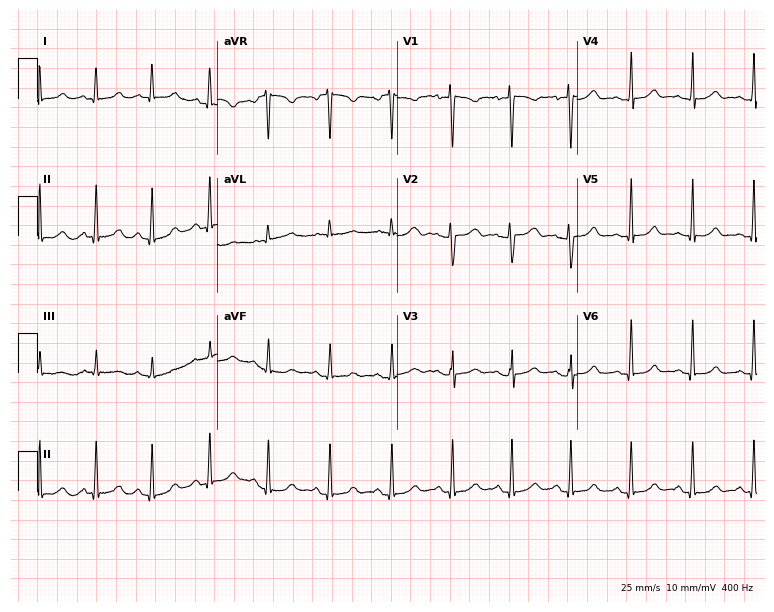
Electrocardiogram, a female, 27 years old. Of the six screened findings (first-degree AV block, right bundle branch block (RBBB), left bundle branch block (LBBB), sinus bradycardia, atrial fibrillation (AF), sinus tachycardia), none is recorded. Other findings, if any, are not listed.